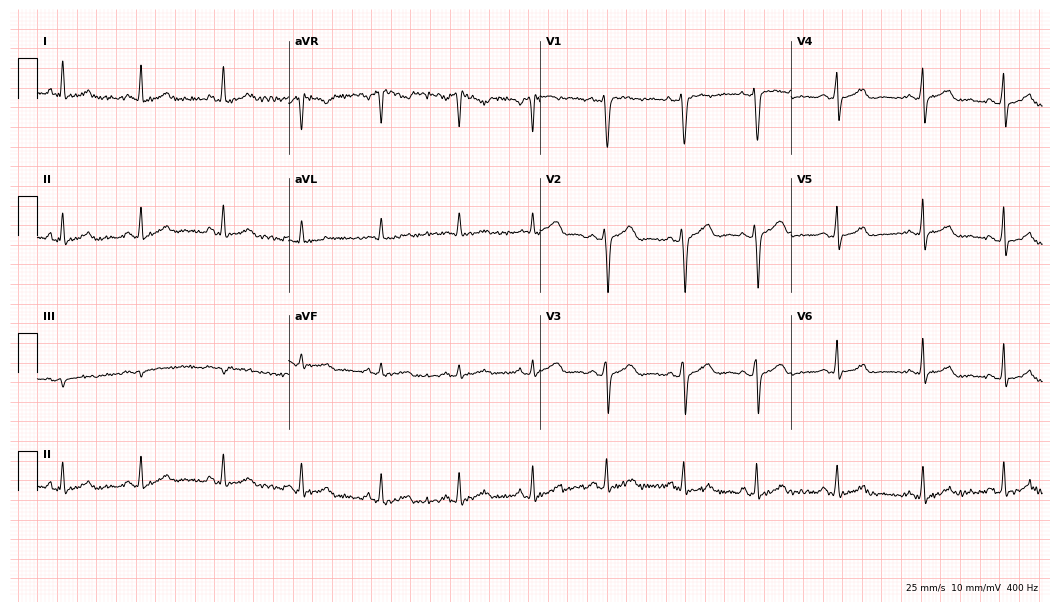
Resting 12-lead electrocardiogram (10.2-second recording at 400 Hz). Patient: a female, 30 years old. Read as a normal ECG.